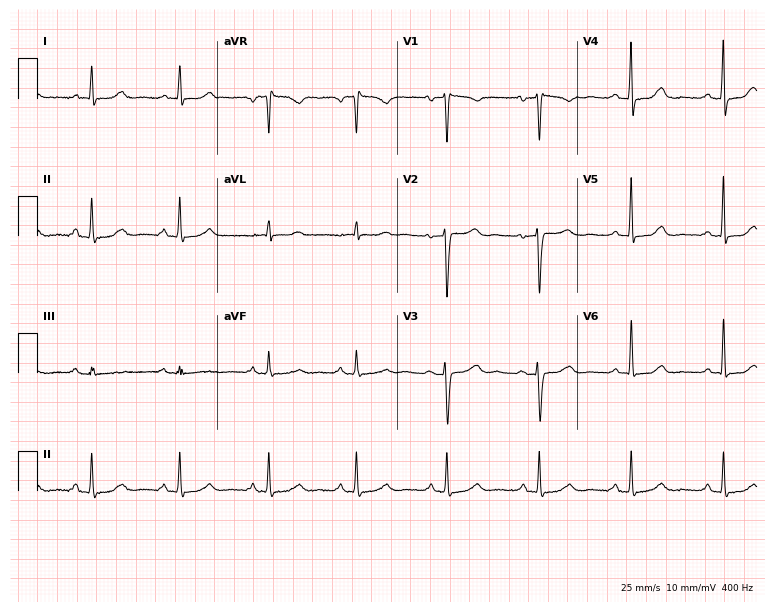
12-lead ECG (7.3-second recording at 400 Hz) from a 43-year-old female patient. Labelled as a normal ECG.